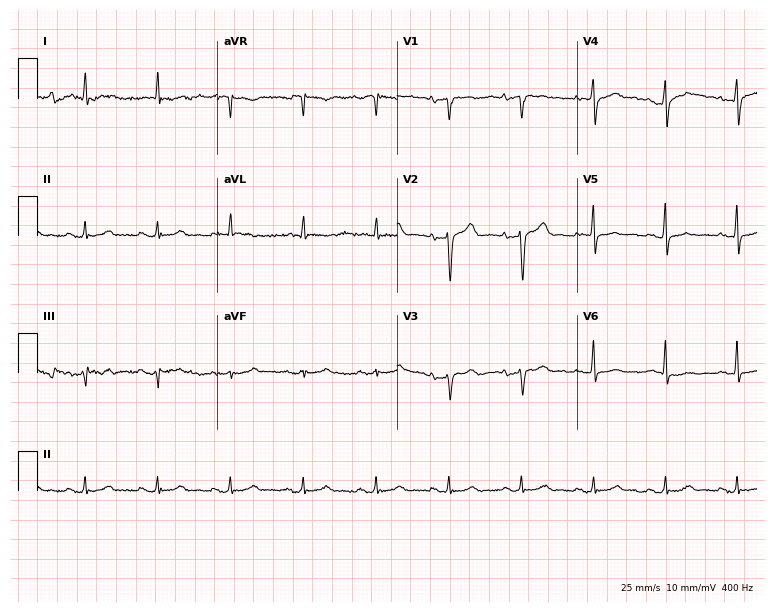
Electrocardiogram, a male, 79 years old. Of the six screened findings (first-degree AV block, right bundle branch block (RBBB), left bundle branch block (LBBB), sinus bradycardia, atrial fibrillation (AF), sinus tachycardia), none is recorded.